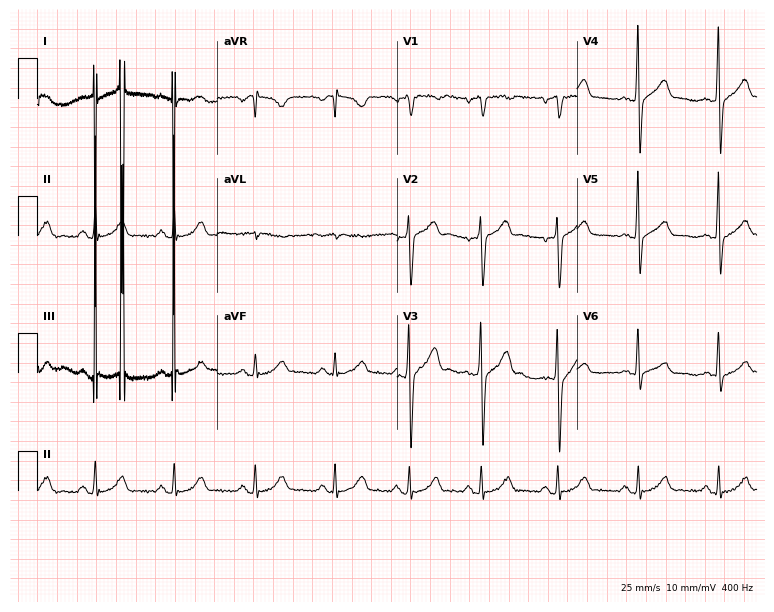
12-lead ECG from a male patient, 45 years old. Labelled as a normal ECG.